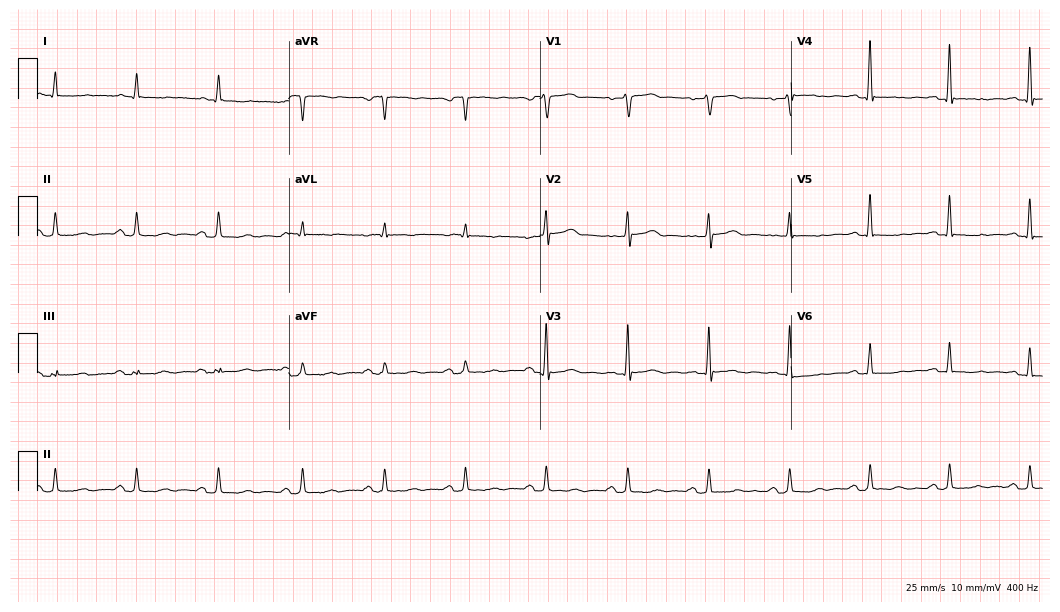
Electrocardiogram, a woman, 72 years old. Of the six screened findings (first-degree AV block, right bundle branch block (RBBB), left bundle branch block (LBBB), sinus bradycardia, atrial fibrillation (AF), sinus tachycardia), none is recorded. Only these six findings were labelled.